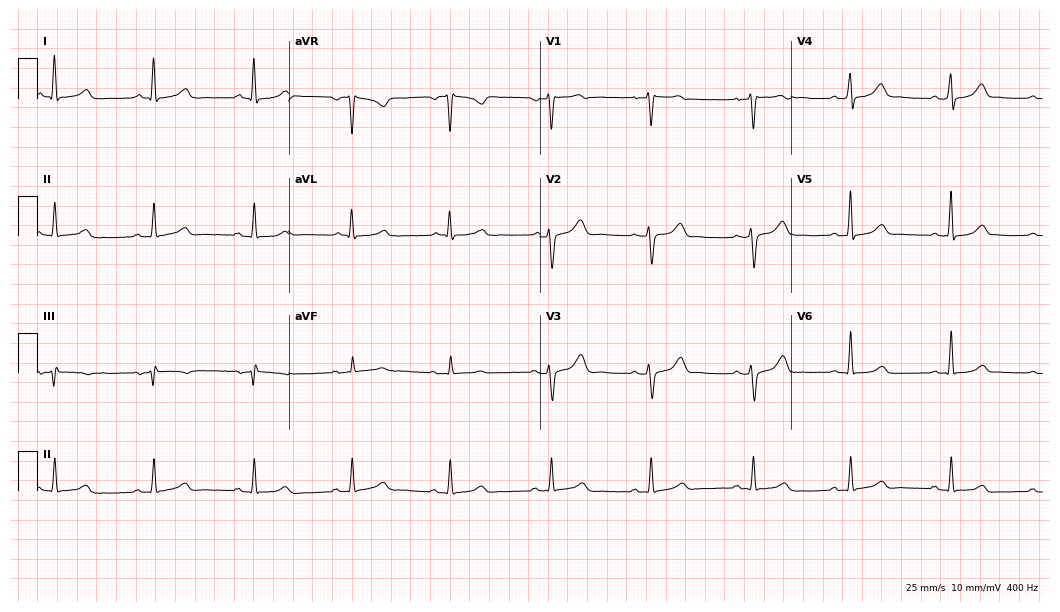
Standard 12-lead ECG recorded from a 59-year-old female (10.2-second recording at 400 Hz). None of these six findings is recorded: first-degree AV block, right bundle branch block, left bundle branch block, sinus bradycardia, atrial fibrillation, sinus tachycardia. Findings outside these six are not listed.